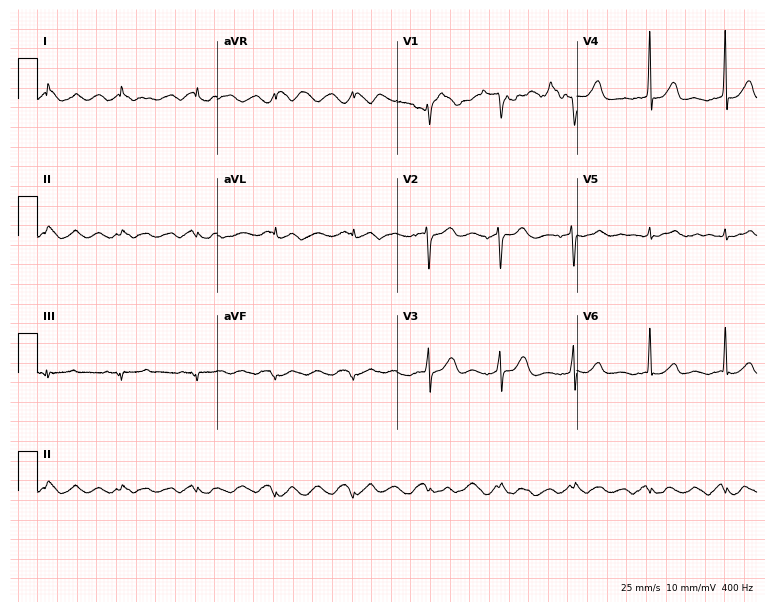
12-lead ECG (7.3-second recording at 400 Hz) from a female, 22 years old. Screened for six findings — first-degree AV block, right bundle branch block (RBBB), left bundle branch block (LBBB), sinus bradycardia, atrial fibrillation (AF), sinus tachycardia — none is recorded.